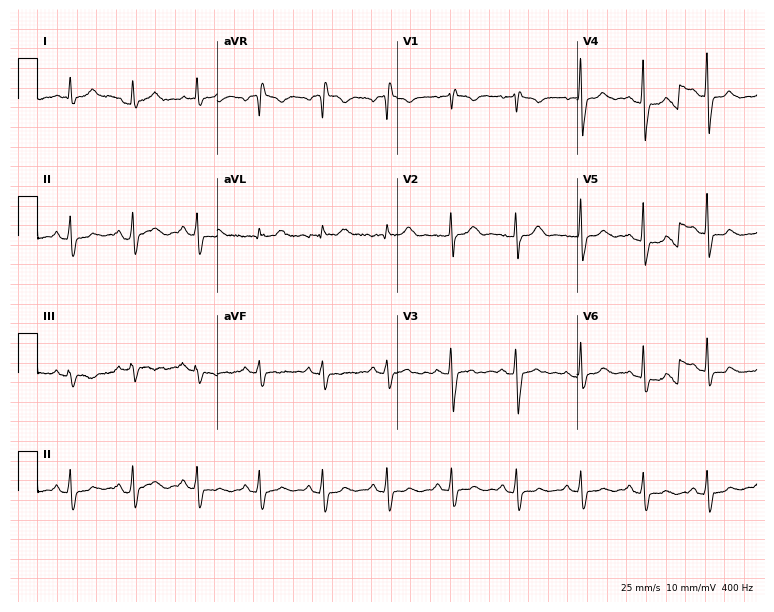
Electrocardiogram (7.3-second recording at 400 Hz), a female, 20 years old. Of the six screened findings (first-degree AV block, right bundle branch block (RBBB), left bundle branch block (LBBB), sinus bradycardia, atrial fibrillation (AF), sinus tachycardia), none is recorded. Only these six findings were labelled.